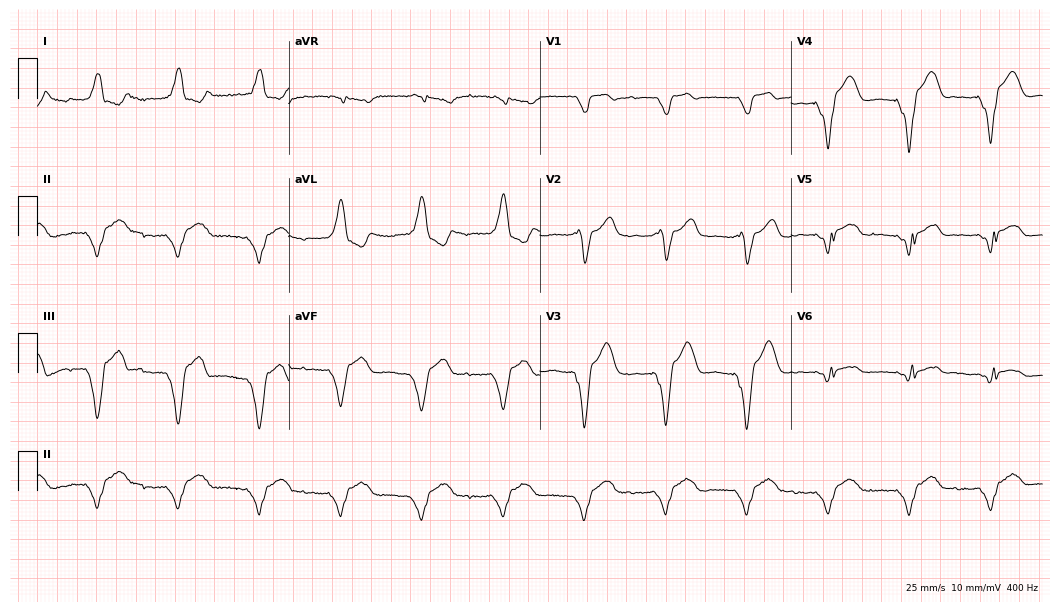
Resting 12-lead electrocardiogram. Patient: a 45-year-old female. None of these six findings is recorded: first-degree AV block, right bundle branch block (RBBB), left bundle branch block (LBBB), sinus bradycardia, atrial fibrillation (AF), sinus tachycardia. Findings outside these six are not listed.